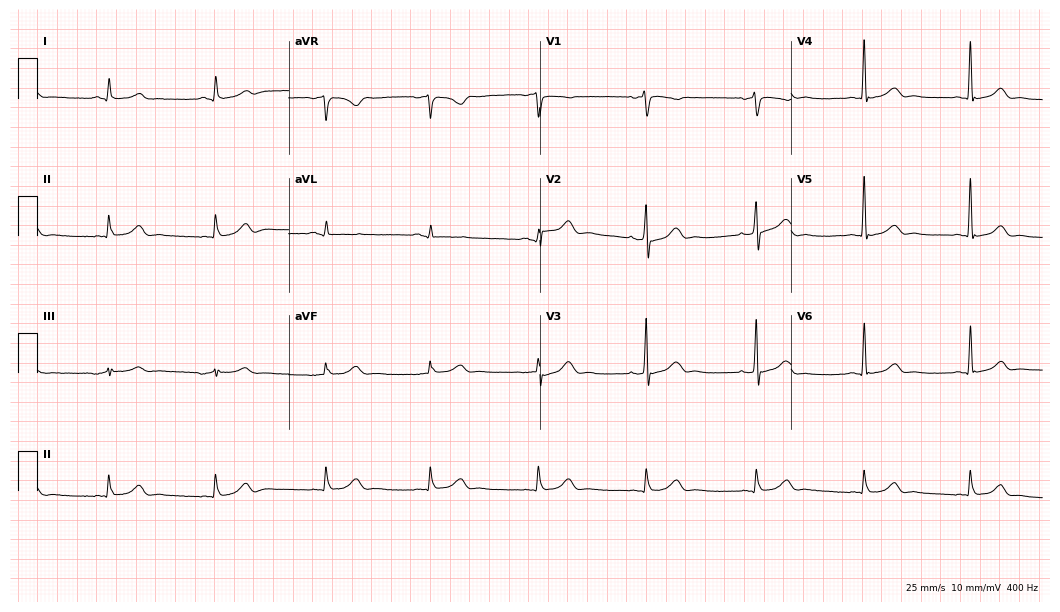
Resting 12-lead electrocardiogram (10.2-second recording at 400 Hz). Patient: a male, 60 years old. Read as a normal ECG.